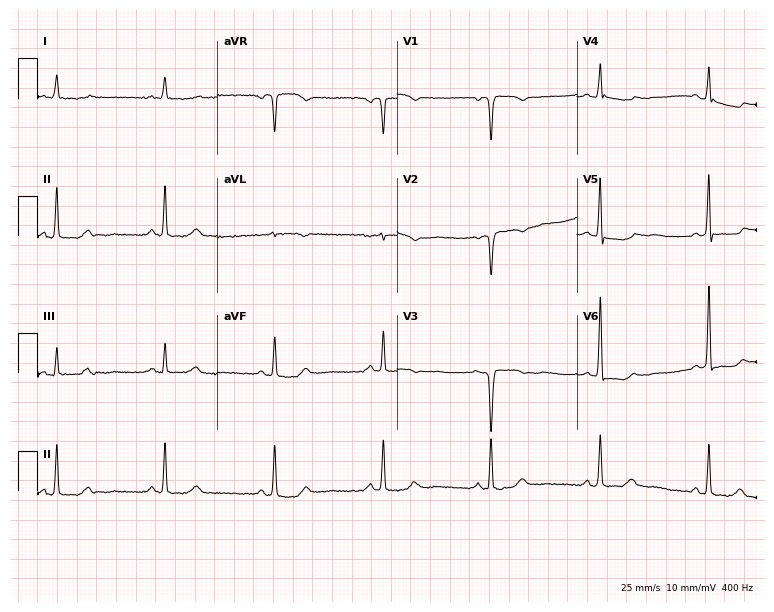
Standard 12-lead ECG recorded from an 83-year-old woman. None of these six findings is recorded: first-degree AV block, right bundle branch block (RBBB), left bundle branch block (LBBB), sinus bradycardia, atrial fibrillation (AF), sinus tachycardia. Only these six findings were labelled.